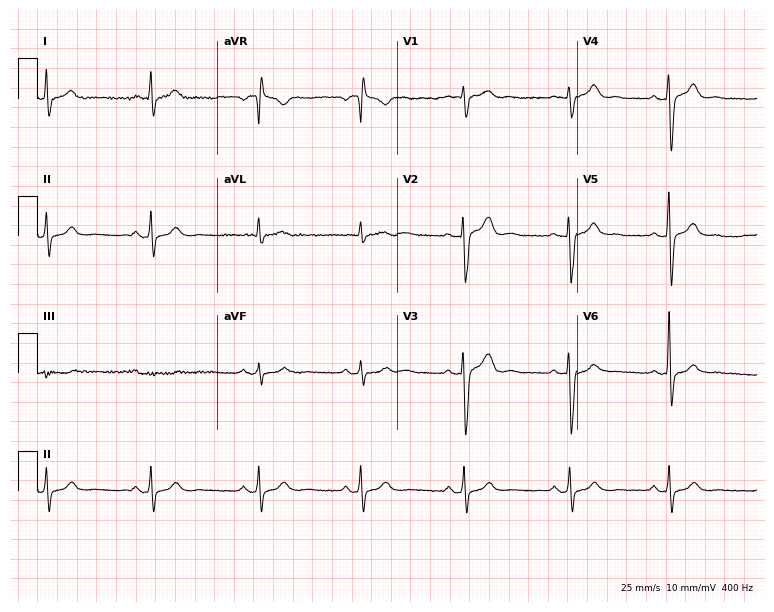
Electrocardiogram (7.3-second recording at 400 Hz), a 29-year-old male. Overall reading on record: normal ECG.